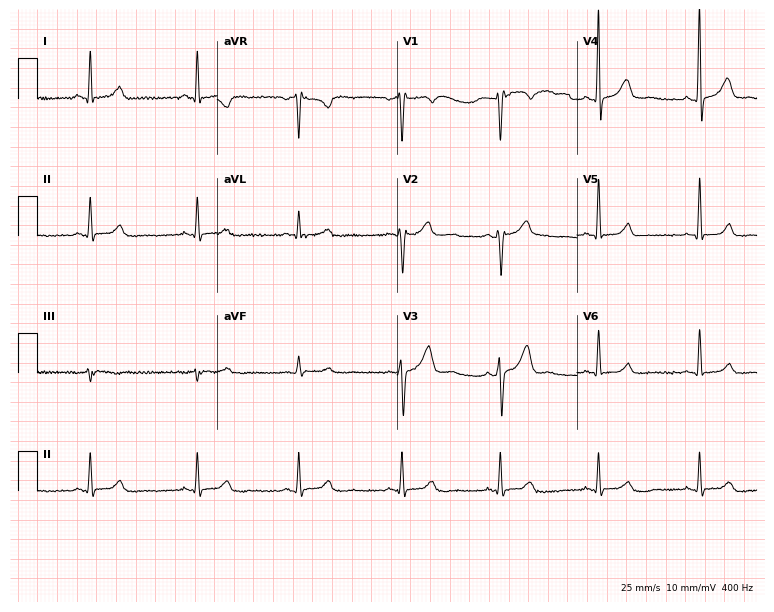
Standard 12-lead ECG recorded from a 47-year-old male. None of these six findings is recorded: first-degree AV block, right bundle branch block (RBBB), left bundle branch block (LBBB), sinus bradycardia, atrial fibrillation (AF), sinus tachycardia.